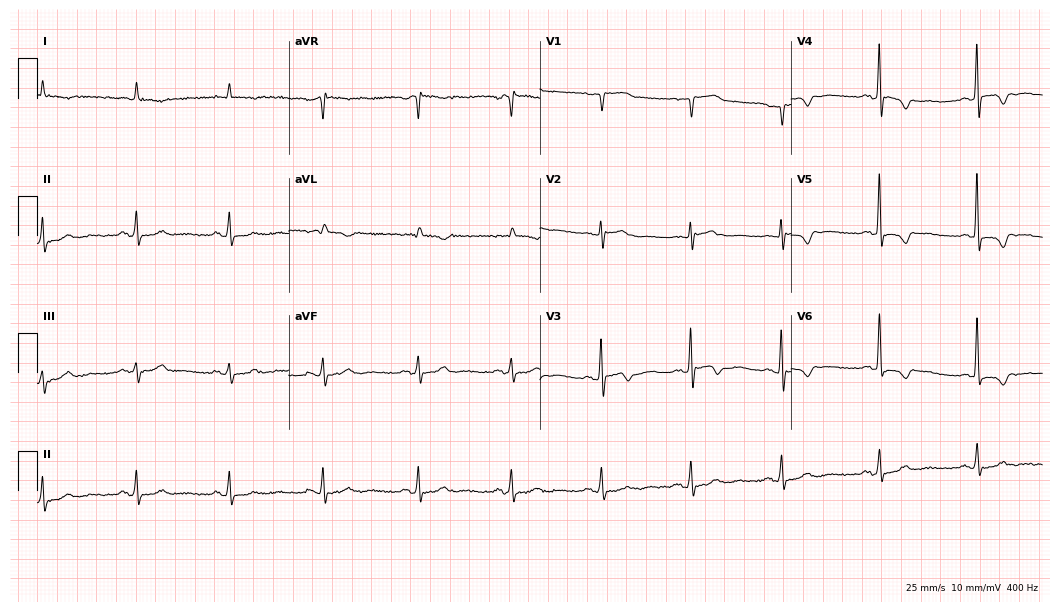
Resting 12-lead electrocardiogram (10.2-second recording at 400 Hz). Patient: a 78-year-old man. None of these six findings is recorded: first-degree AV block, right bundle branch block, left bundle branch block, sinus bradycardia, atrial fibrillation, sinus tachycardia. Other findings, if any, are not listed.